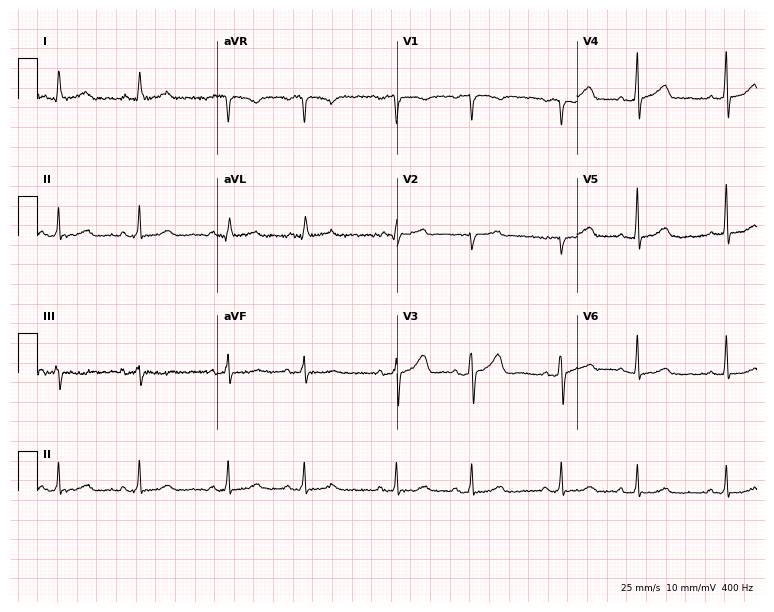
12-lead ECG from a female patient, 53 years old (7.3-second recording at 400 Hz). No first-degree AV block, right bundle branch block, left bundle branch block, sinus bradycardia, atrial fibrillation or sinus tachycardia recorded for this tracing. Other findings, if any, are not listed.